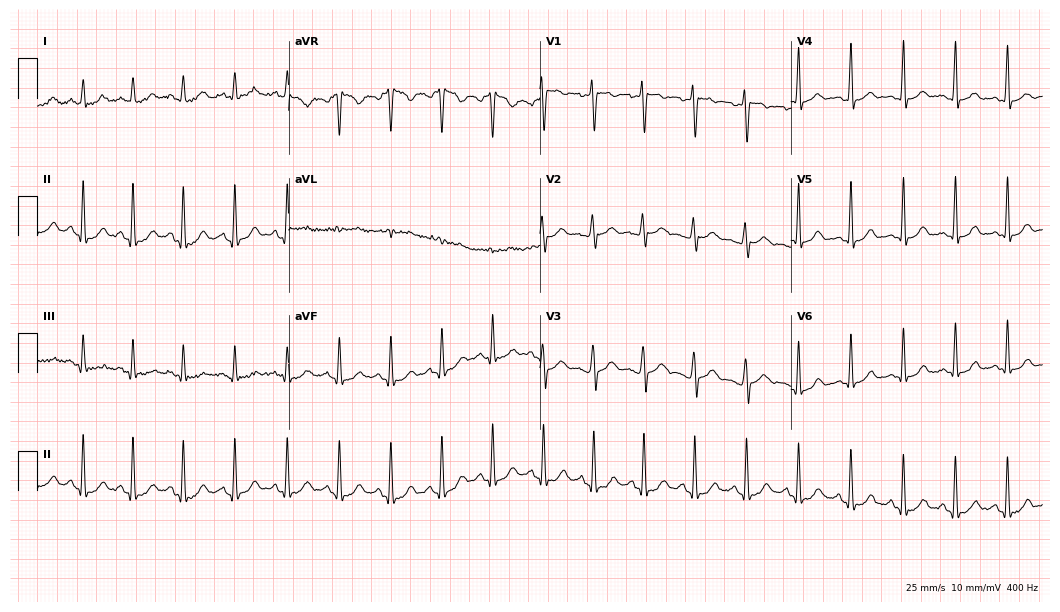
Standard 12-lead ECG recorded from a 19-year-old woman. None of these six findings is recorded: first-degree AV block, right bundle branch block, left bundle branch block, sinus bradycardia, atrial fibrillation, sinus tachycardia.